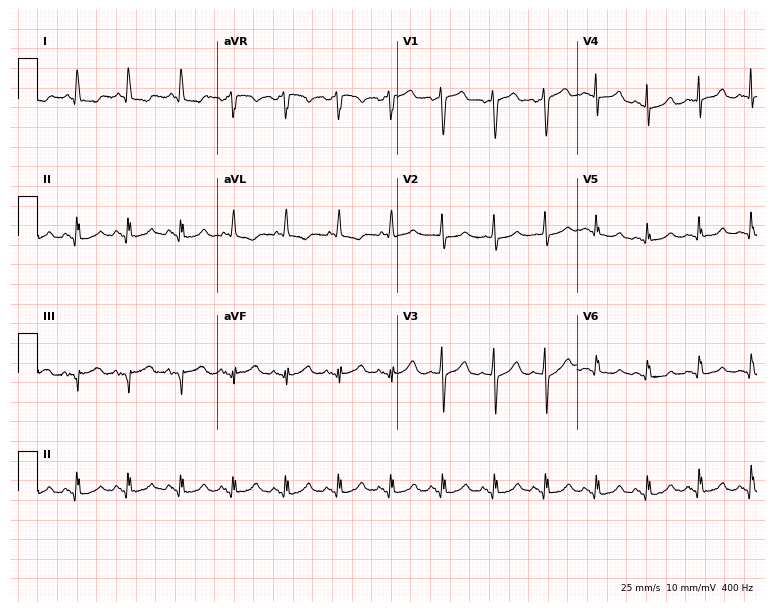
12-lead ECG from a female patient, 68 years old. Shows sinus tachycardia (a sinus rate of 100 beats per minute or more).